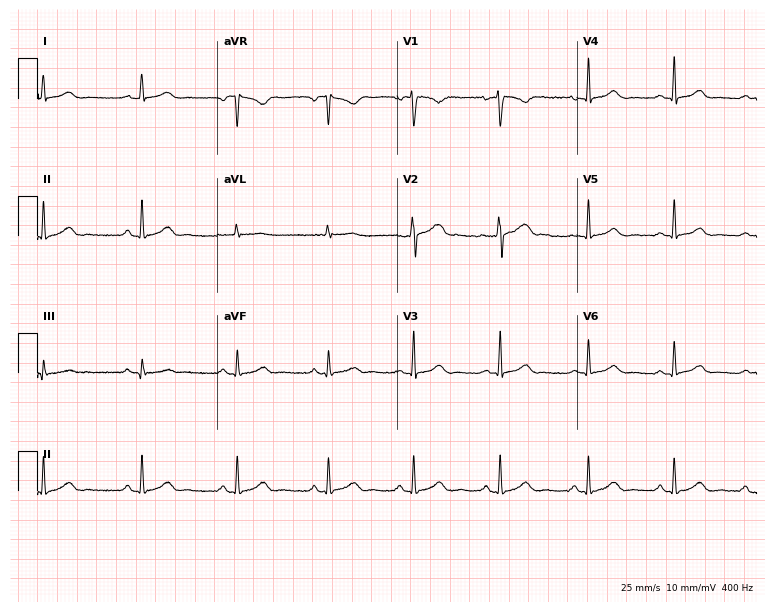
ECG — a 23-year-old woman. Labelled as a normal ECG.